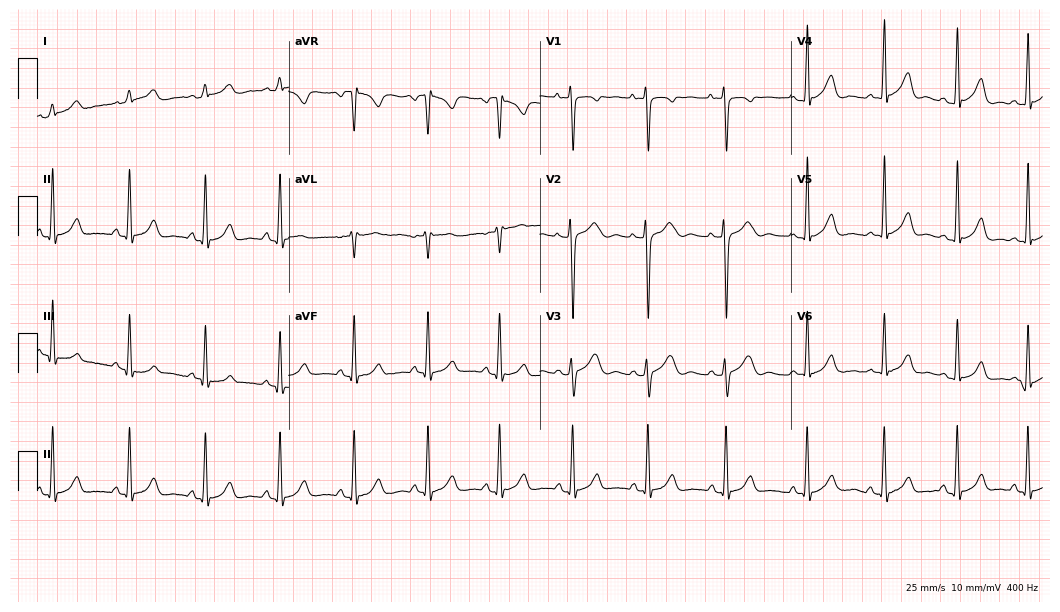
ECG (10.2-second recording at 400 Hz) — a 48-year-old woman. Labelled as a normal ECG.